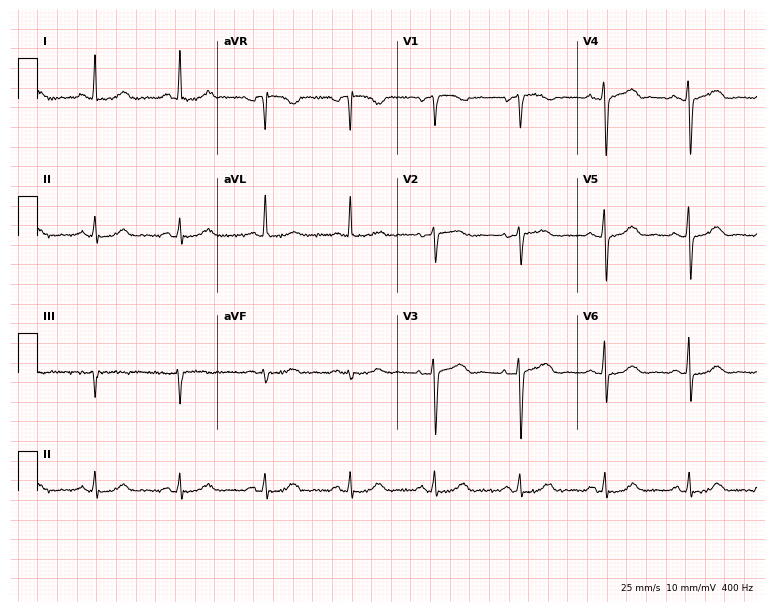
12-lead ECG from a female, 57 years old. Labelled as a normal ECG.